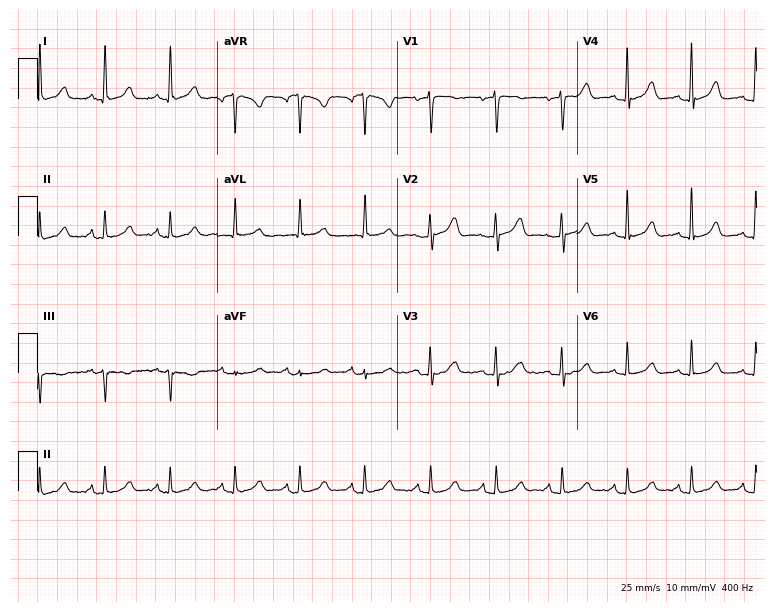
12-lead ECG from a 66-year-old female. Recorded interpretation: within normal limits.